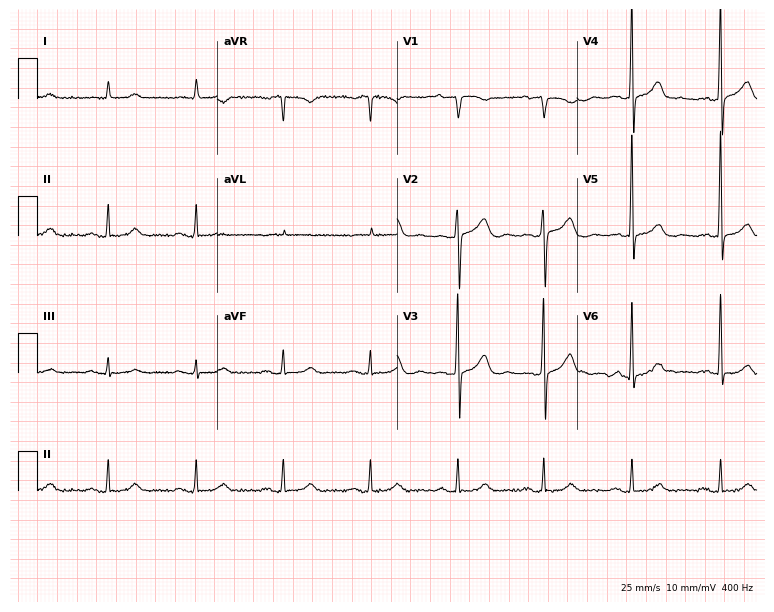
12-lead ECG from a 73-year-old male. Recorded interpretation: within normal limits.